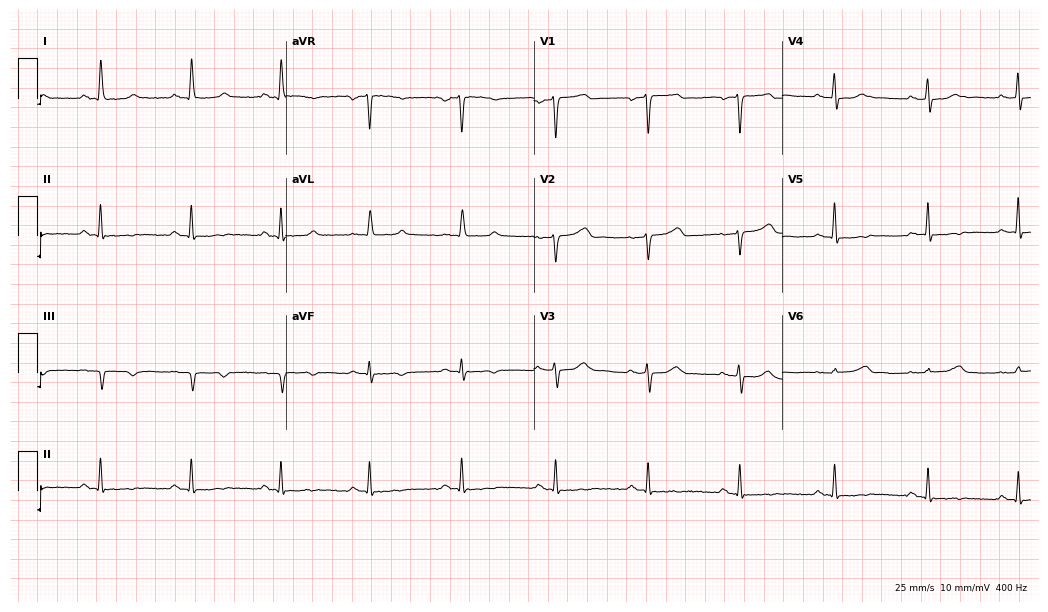
ECG (10.1-second recording at 400 Hz) — a woman, 66 years old. Screened for six findings — first-degree AV block, right bundle branch block, left bundle branch block, sinus bradycardia, atrial fibrillation, sinus tachycardia — none is recorded. Findings outside these six are not listed.